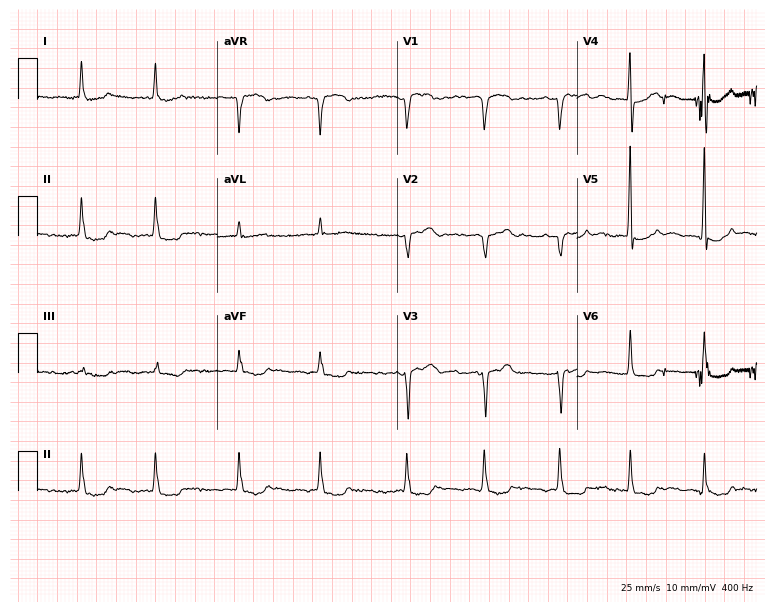
Electrocardiogram, a female, 78 years old. Interpretation includes atrial fibrillation (AF).